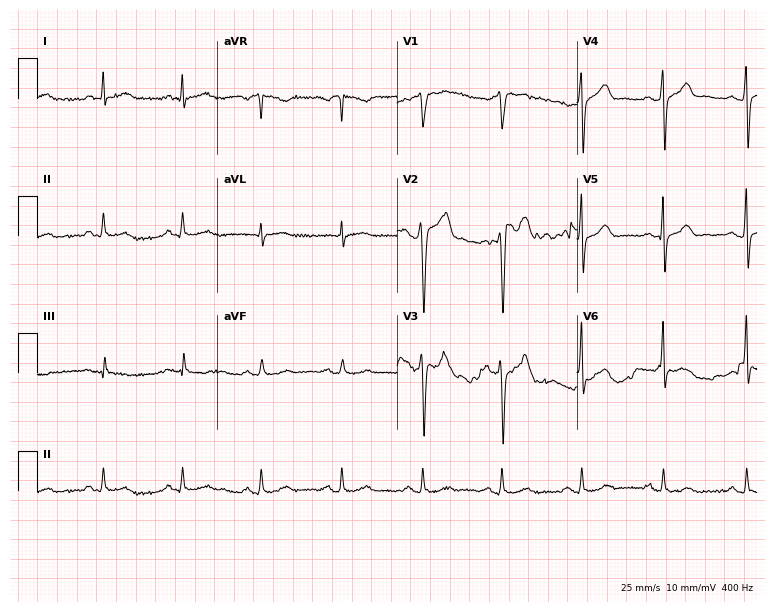
Standard 12-lead ECG recorded from a male patient, 41 years old (7.3-second recording at 400 Hz). Read as a normal ECG.